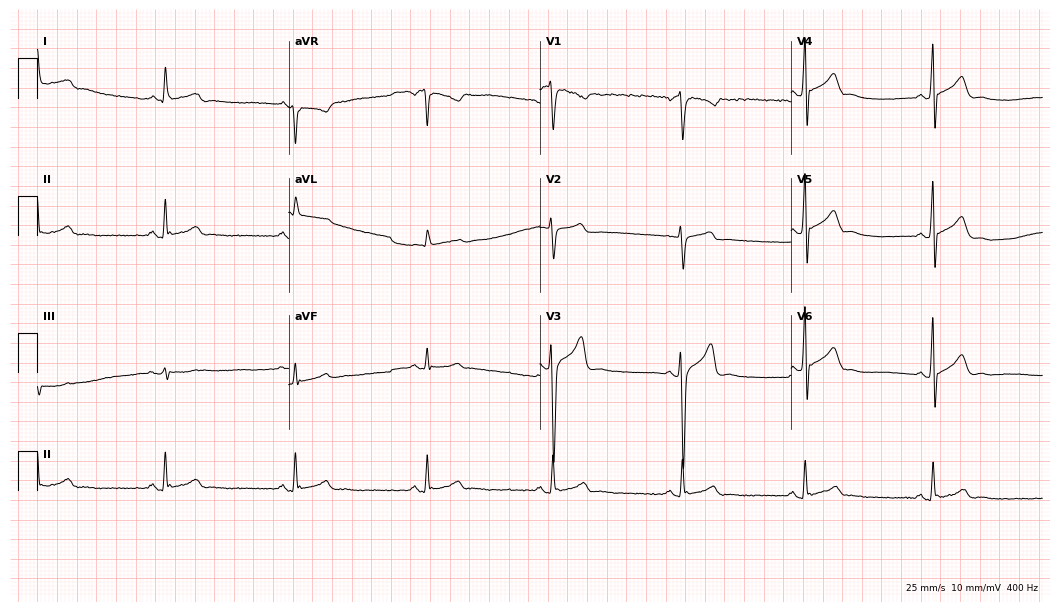
ECG — a 39-year-old male patient. Screened for six findings — first-degree AV block, right bundle branch block, left bundle branch block, sinus bradycardia, atrial fibrillation, sinus tachycardia — none is recorded.